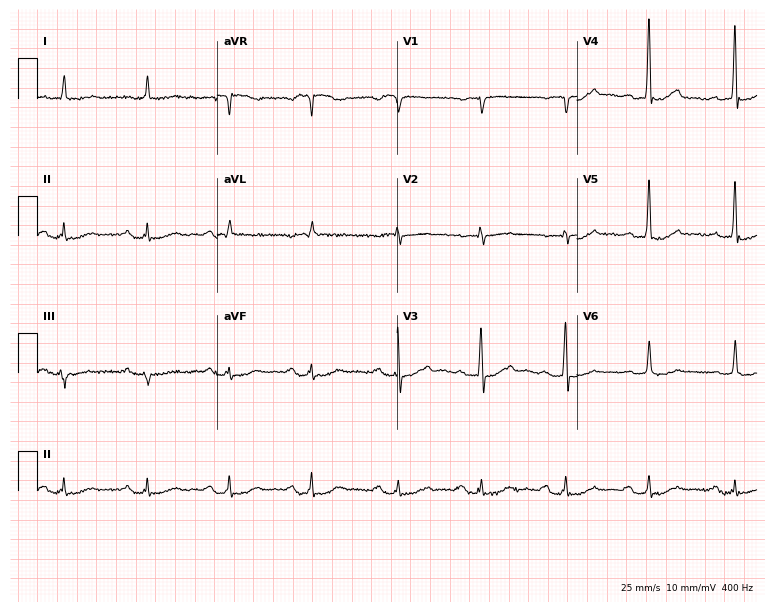
Standard 12-lead ECG recorded from a 79-year-old man (7.3-second recording at 400 Hz). None of these six findings is recorded: first-degree AV block, right bundle branch block, left bundle branch block, sinus bradycardia, atrial fibrillation, sinus tachycardia. Only these six findings were labelled.